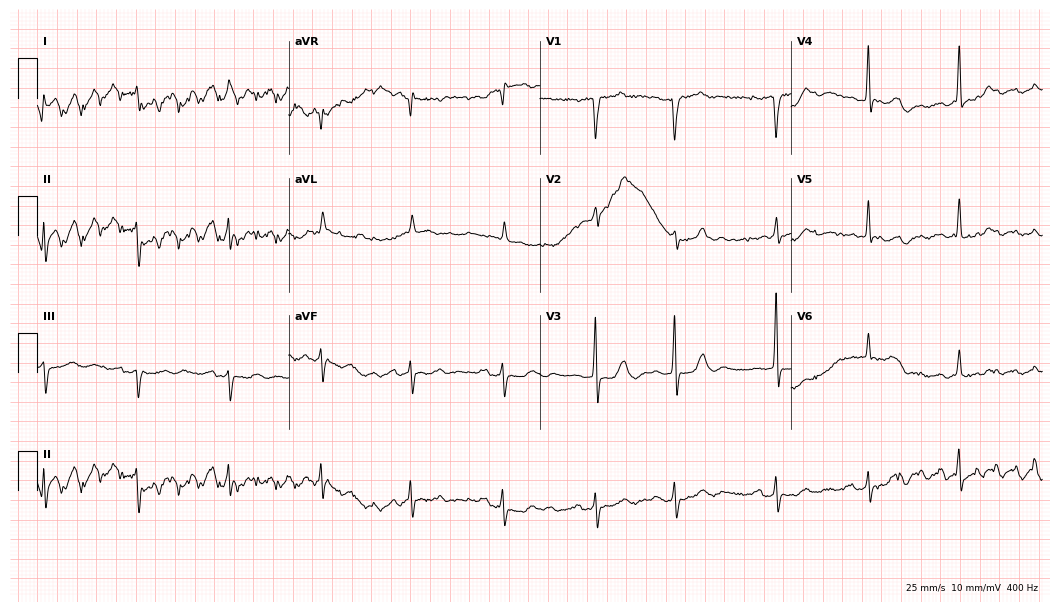
Standard 12-lead ECG recorded from an 85-year-old female (10.2-second recording at 400 Hz). The tracing shows atrial fibrillation.